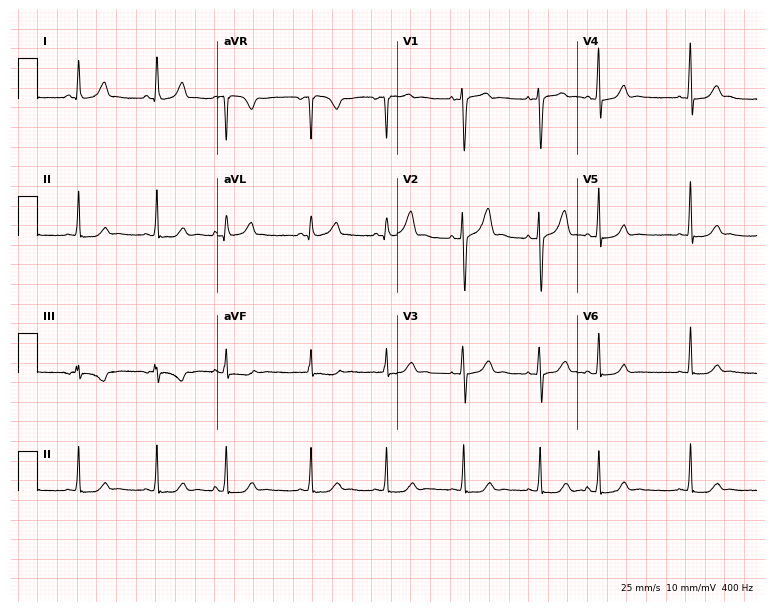
Standard 12-lead ECG recorded from a 45-year-old female. None of these six findings is recorded: first-degree AV block, right bundle branch block, left bundle branch block, sinus bradycardia, atrial fibrillation, sinus tachycardia. Findings outside these six are not listed.